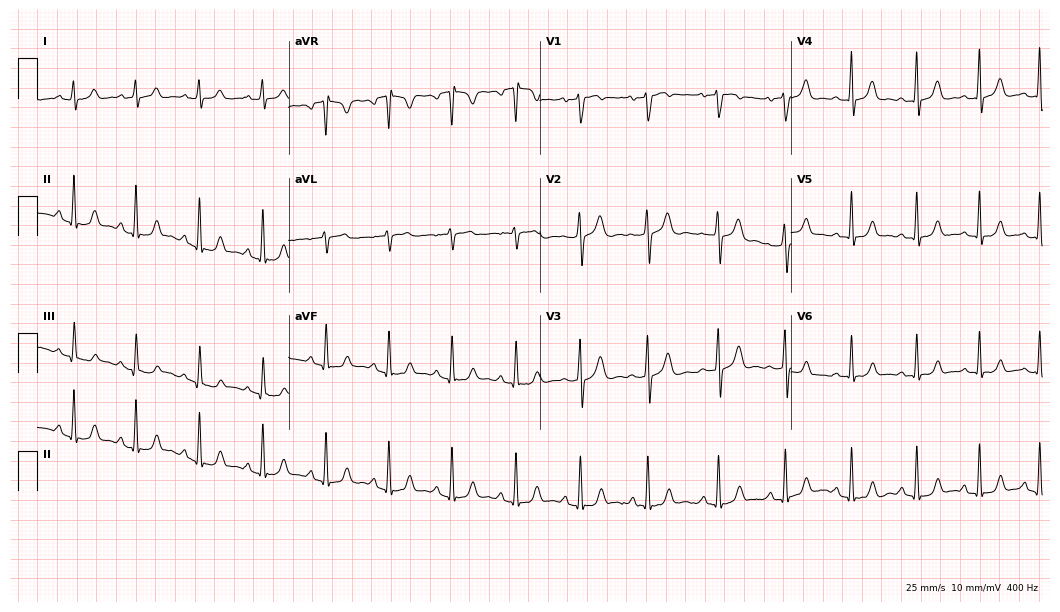
12-lead ECG from an 18-year-old female patient. Labelled as a normal ECG.